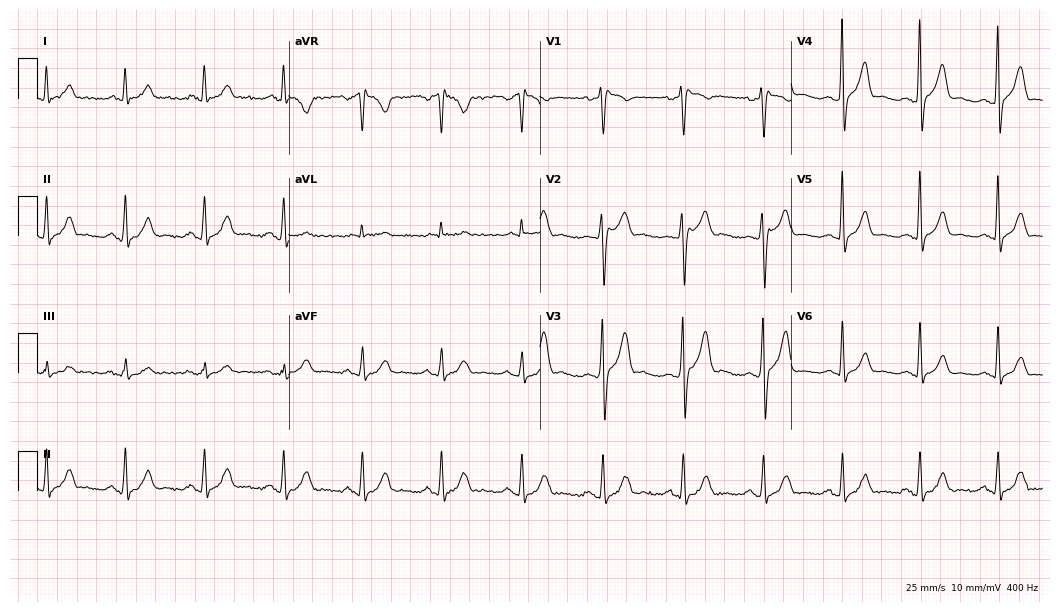
Resting 12-lead electrocardiogram (10.2-second recording at 400 Hz). Patient: a 38-year-old male. None of these six findings is recorded: first-degree AV block, right bundle branch block (RBBB), left bundle branch block (LBBB), sinus bradycardia, atrial fibrillation (AF), sinus tachycardia. Findings outside these six are not listed.